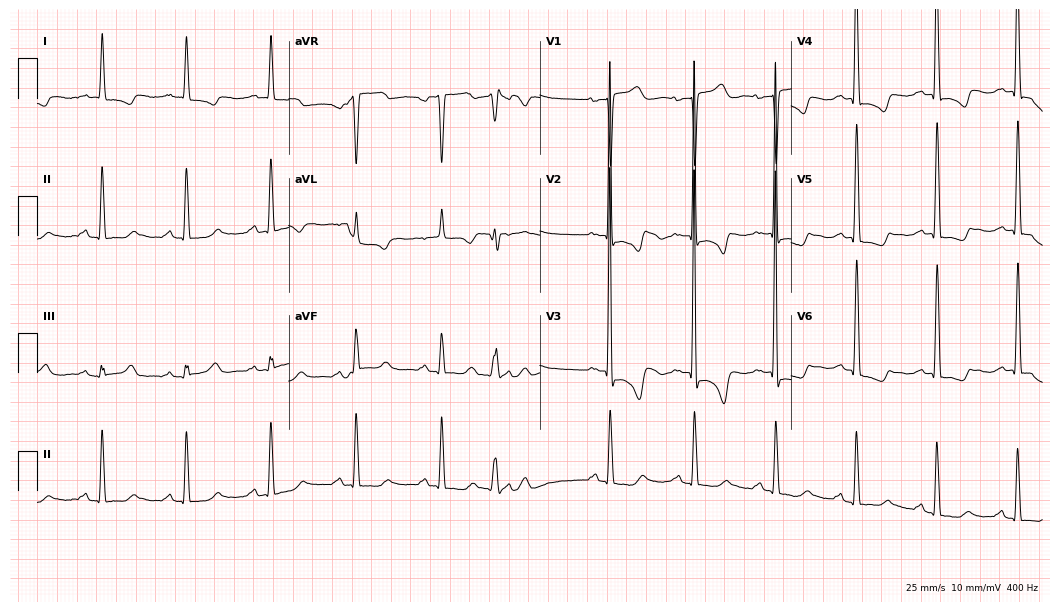
12-lead ECG from a woman, 77 years old. No first-degree AV block, right bundle branch block, left bundle branch block, sinus bradycardia, atrial fibrillation or sinus tachycardia recorded for this tracing. Only these six findings were labelled.